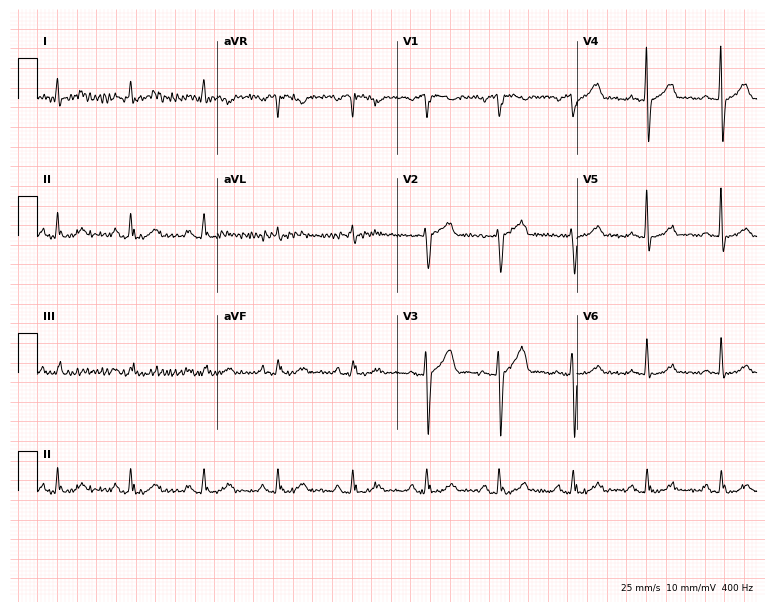
12-lead ECG from a 74-year-old male (7.3-second recording at 400 Hz). Recorded interpretation: within normal limits.